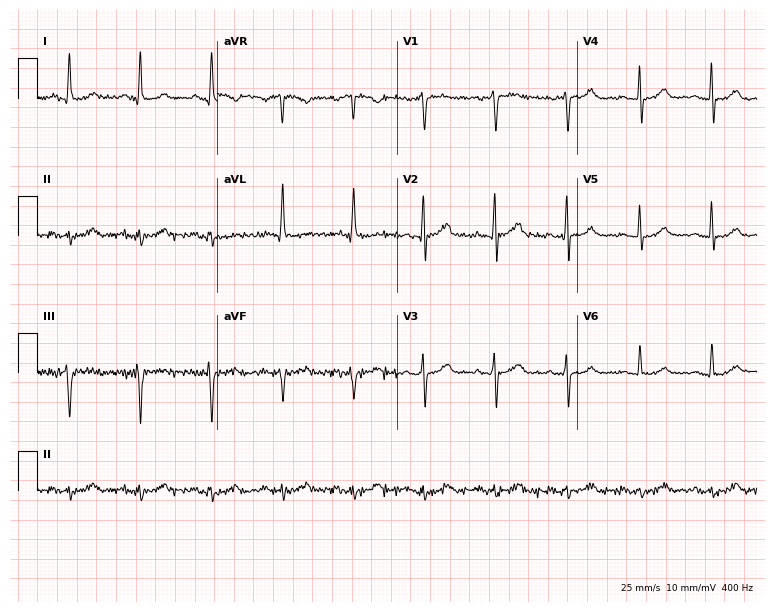
Electrocardiogram (7.3-second recording at 400 Hz), a 75-year-old female. Of the six screened findings (first-degree AV block, right bundle branch block, left bundle branch block, sinus bradycardia, atrial fibrillation, sinus tachycardia), none is recorded. Only these six findings were labelled.